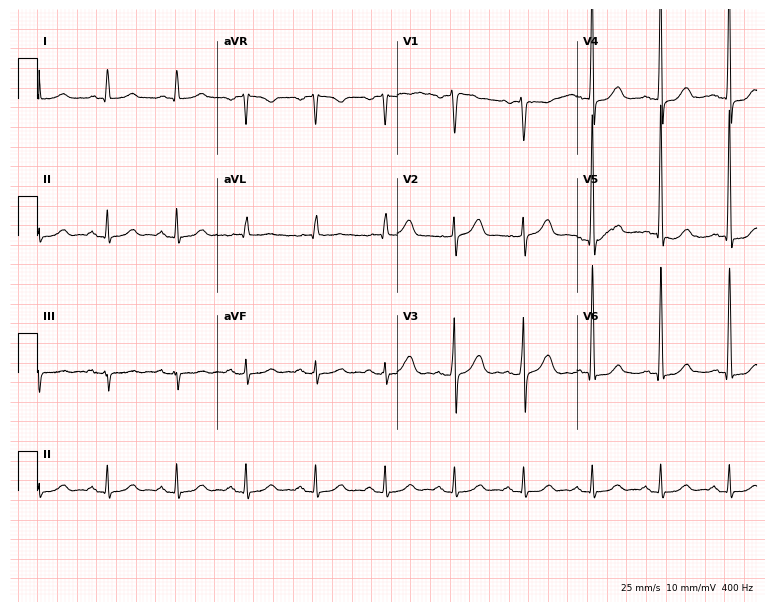
ECG — a man, 58 years old. Screened for six findings — first-degree AV block, right bundle branch block (RBBB), left bundle branch block (LBBB), sinus bradycardia, atrial fibrillation (AF), sinus tachycardia — none is recorded. Findings outside these six are not listed.